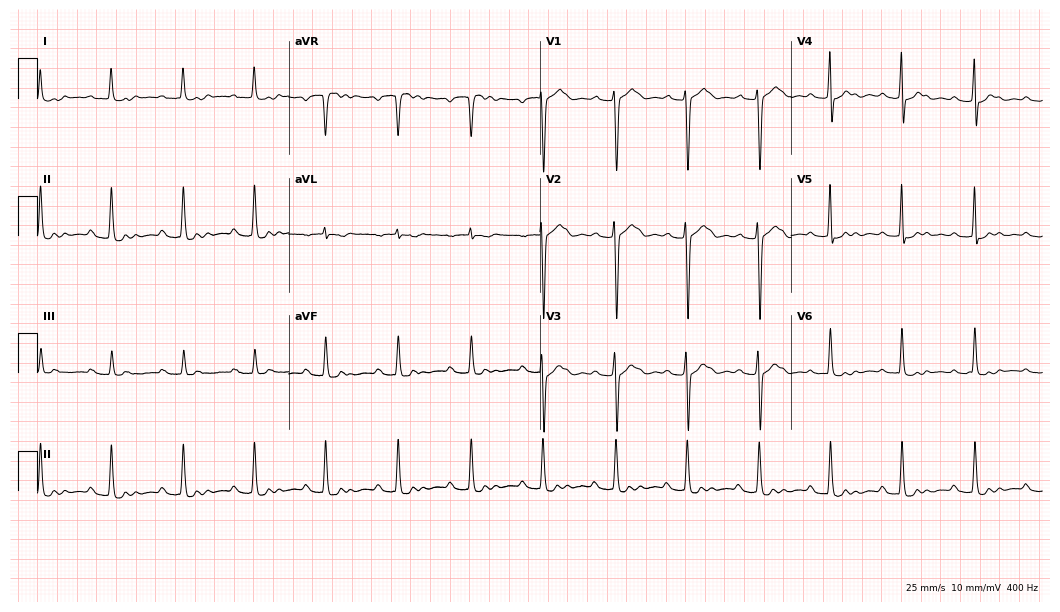
ECG (10.2-second recording at 400 Hz) — a 24-year-old female patient. Screened for six findings — first-degree AV block, right bundle branch block, left bundle branch block, sinus bradycardia, atrial fibrillation, sinus tachycardia — none is recorded. Other findings, if any, are not listed.